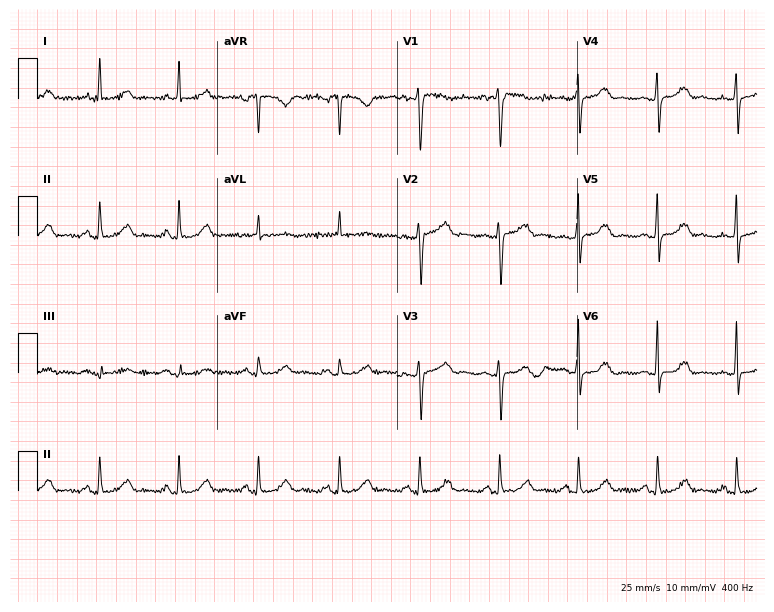
12-lead ECG from a 76-year-old female patient. No first-degree AV block, right bundle branch block, left bundle branch block, sinus bradycardia, atrial fibrillation or sinus tachycardia recorded for this tracing. Other findings, if any, are not listed.